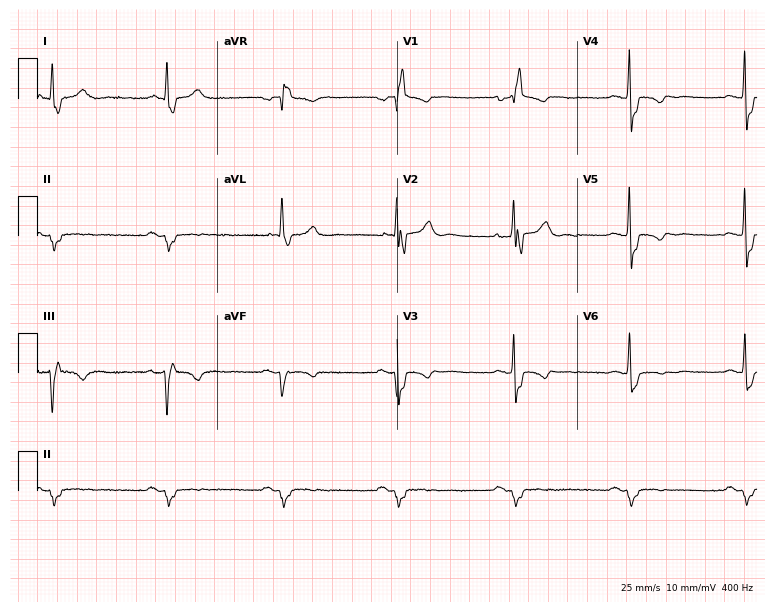
ECG — a 72-year-old male patient. Screened for six findings — first-degree AV block, right bundle branch block, left bundle branch block, sinus bradycardia, atrial fibrillation, sinus tachycardia — none is recorded. Only these six findings were labelled.